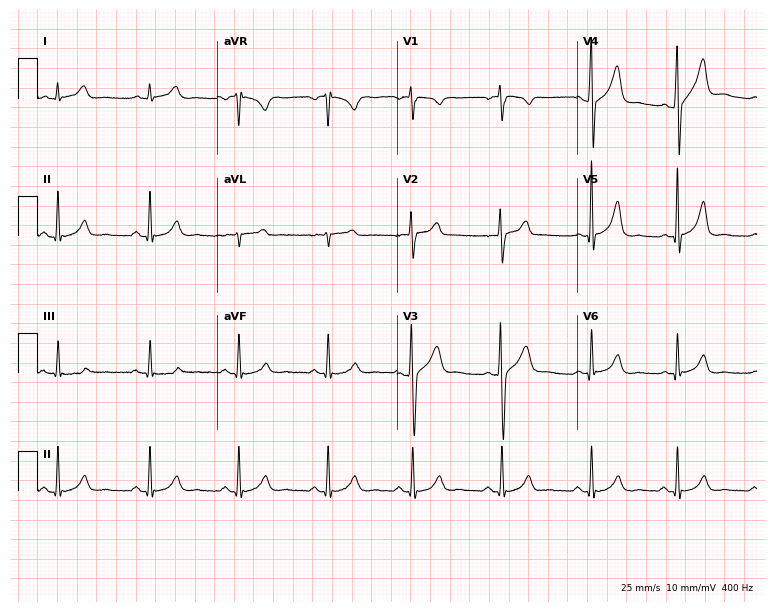
ECG — a 38-year-old man. Labelled as a normal ECG.